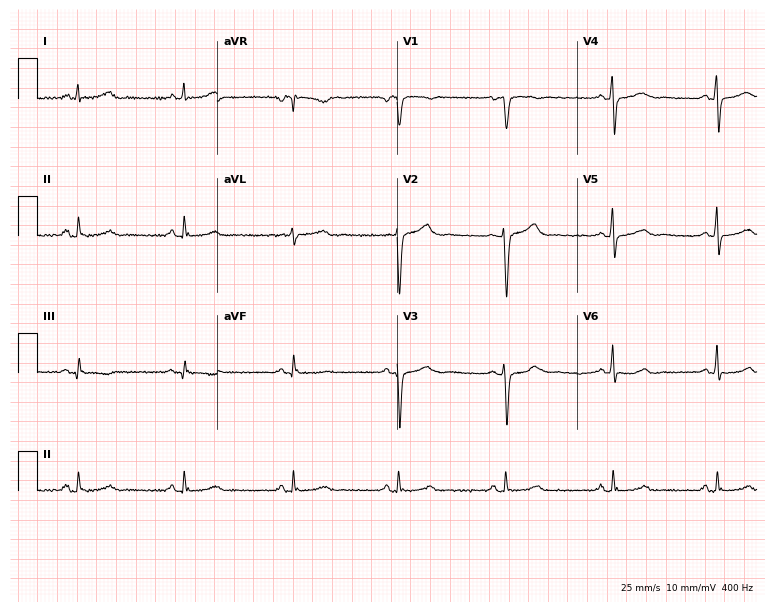
12-lead ECG (7.3-second recording at 400 Hz) from a 53-year-old male. Screened for six findings — first-degree AV block, right bundle branch block, left bundle branch block, sinus bradycardia, atrial fibrillation, sinus tachycardia — none is recorded.